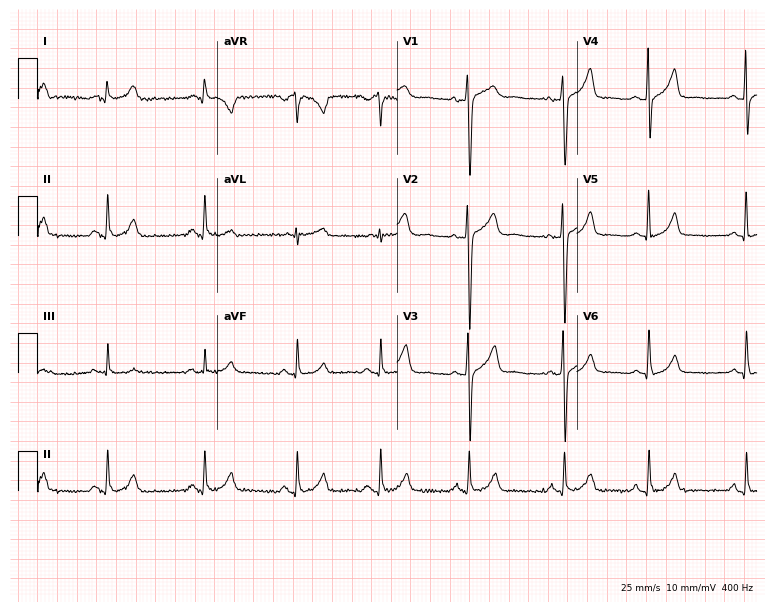
Standard 12-lead ECG recorded from a man, 37 years old (7.3-second recording at 400 Hz). None of these six findings is recorded: first-degree AV block, right bundle branch block, left bundle branch block, sinus bradycardia, atrial fibrillation, sinus tachycardia.